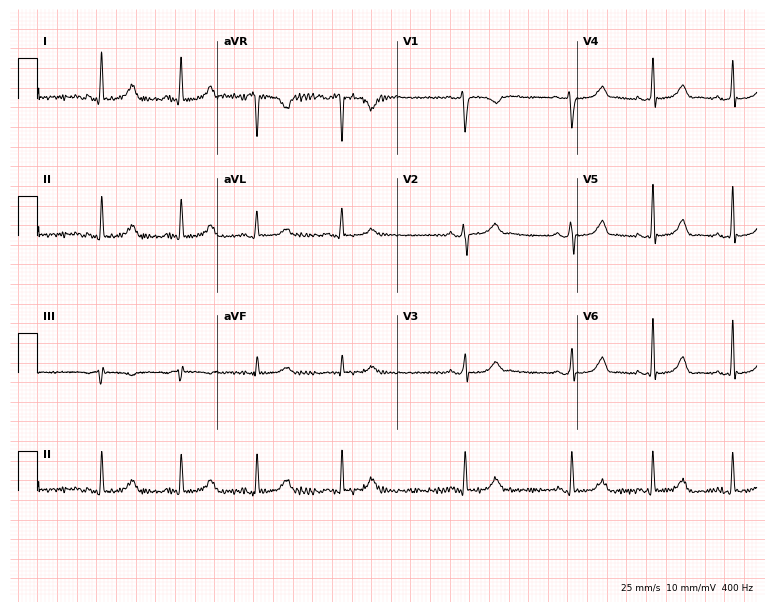
Resting 12-lead electrocardiogram (7.3-second recording at 400 Hz). Patient: a 19-year-old female. Read as a normal ECG.